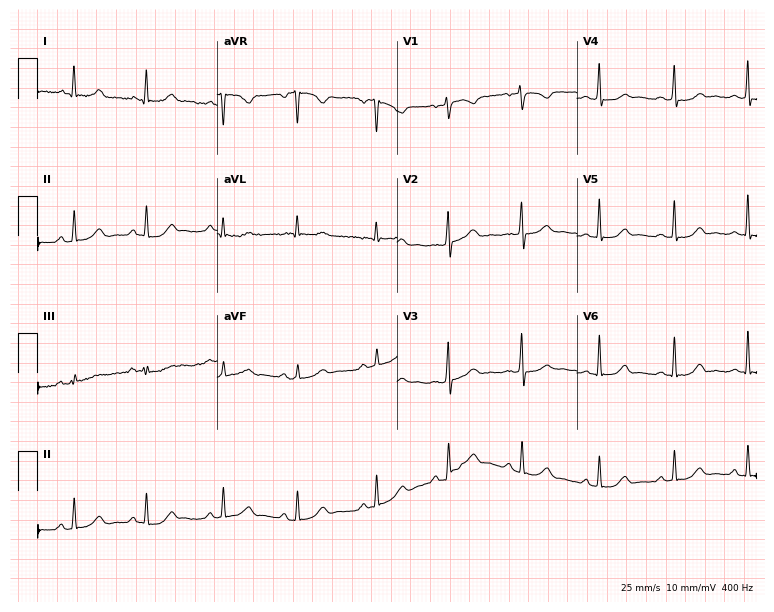
Electrocardiogram, a woman, 44 years old. Of the six screened findings (first-degree AV block, right bundle branch block (RBBB), left bundle branch block (LBBB), sinus bradycardia, atrial fibrillation (AF), sinus tachycardia), none is recorded.